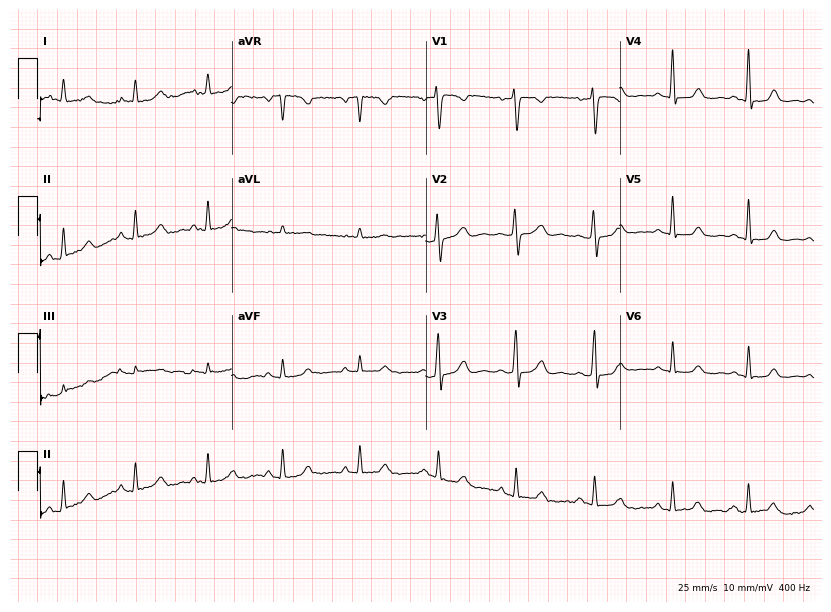
ECG — a 47-year-old female patient. Screened for six findings — first-degree AV block, right bundle branch block (RBBB), left bundle branch block (LBBB), sinus bradycardia, atrial fibrillation (AF), sinus tachycardia — none is recorded. Only these six findings were labelled.